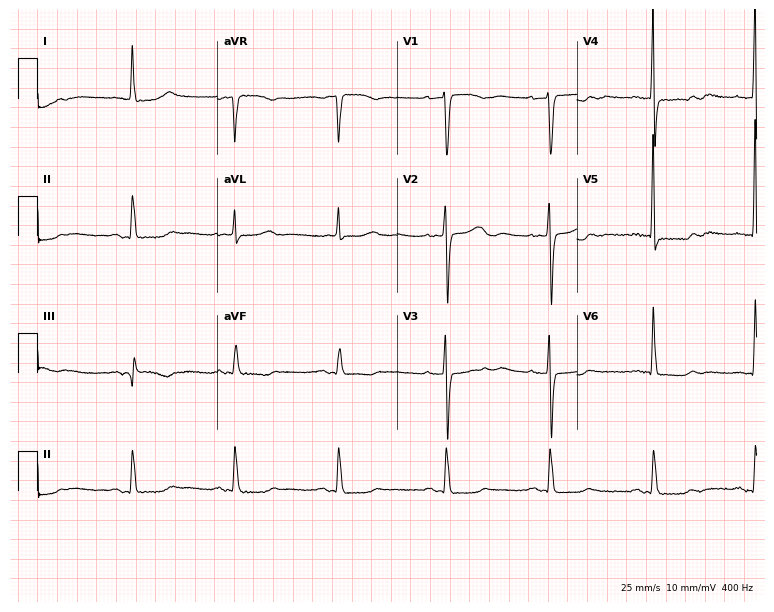
Standard 12-lead ECG recorded from a female, 67 years old. None of these six findings is recorded: first-degree AV block, right bundle branch block, left bundle branch block, sinus bradycardia, atrial fibrillation, sinus tachycardia.